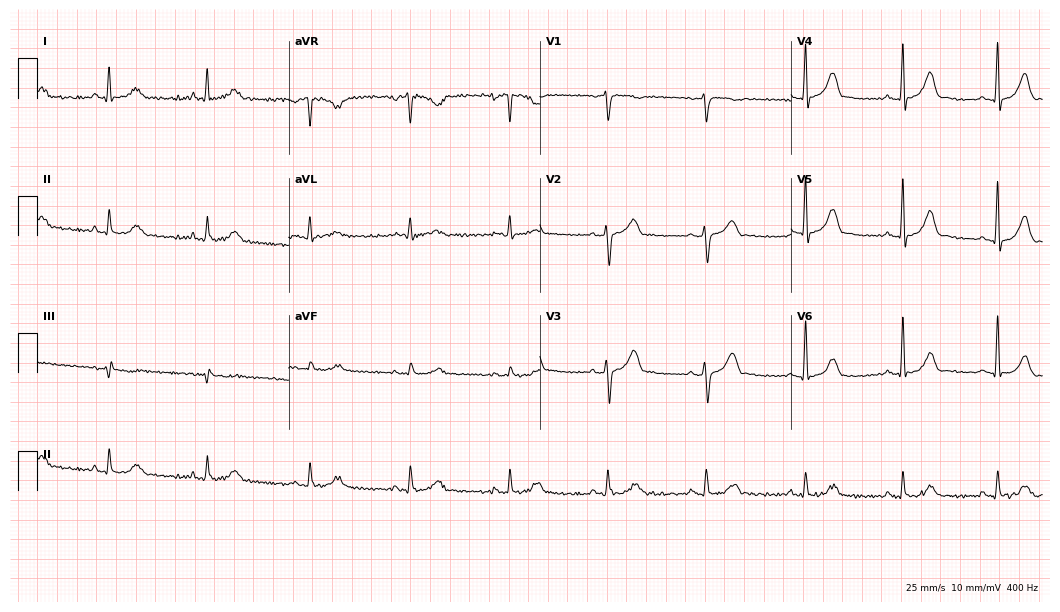
ECG (10.2-second recording at 400 Hz) — a 58-year-old man. Labelled as a normal ECG.